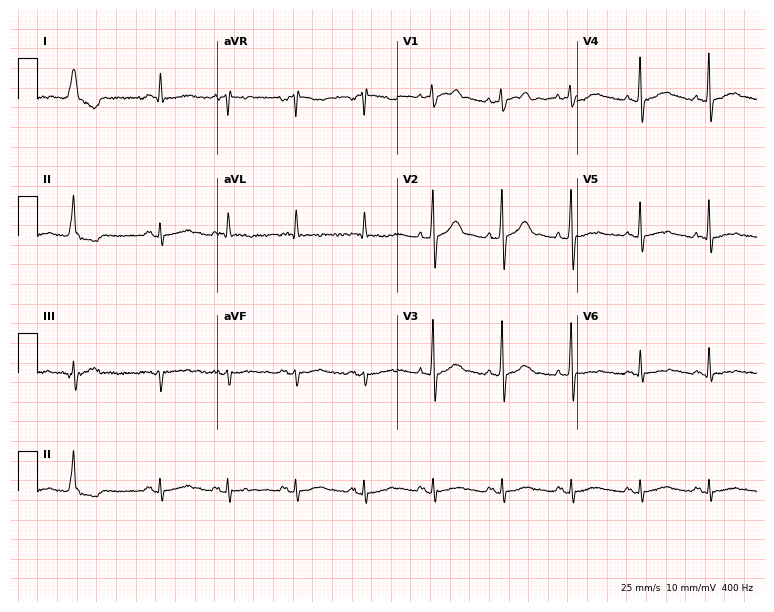
ECG — an 83-year-old male patient. Screened for six findings — first-degree AV block, right bundle branch block, left bundle branch block, sinus bradycardia, atrial fibrillation, sinus tachycardia — none is recorded.